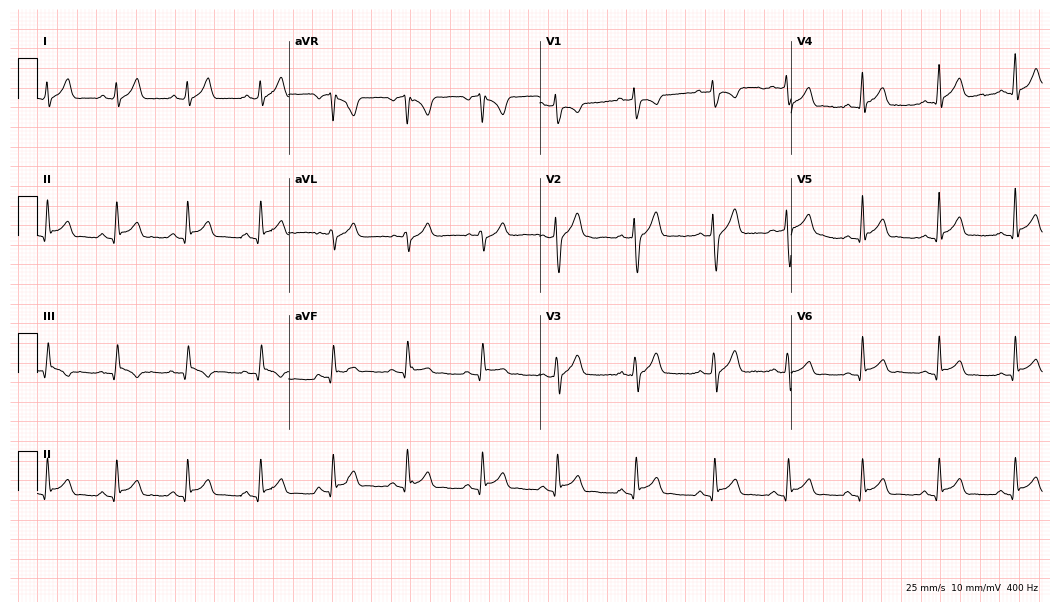
12-lead ECG from a male, 21 years old. Screened for six findings — first-degree AV block, right bundle branch block, left bundle branch block, sinus bradycardia, atrial fibrillation, sinus tachycardia — none is recorded. Only these six findings were labelled.